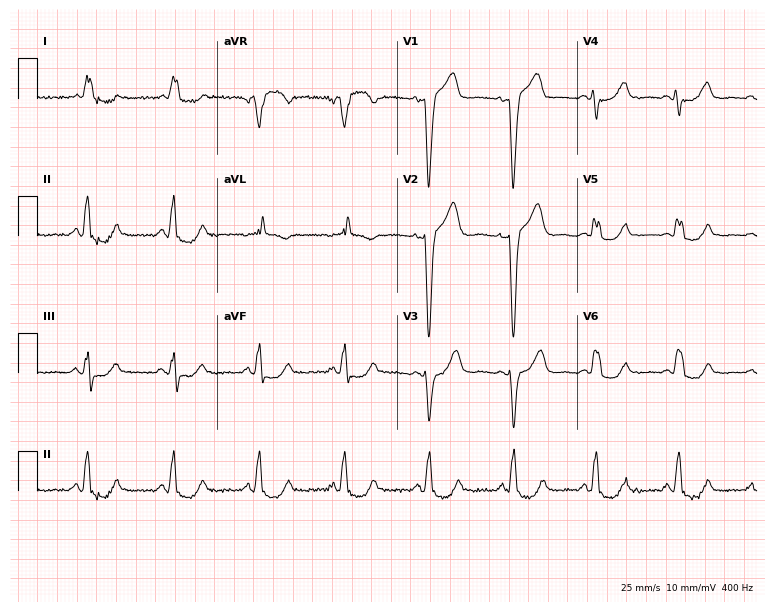
Resting 12-lead electrocardiogram (7.3-second recording at 400 Hz). Patient: a woman, 83 years old. The tracing shows left bundle branch block.